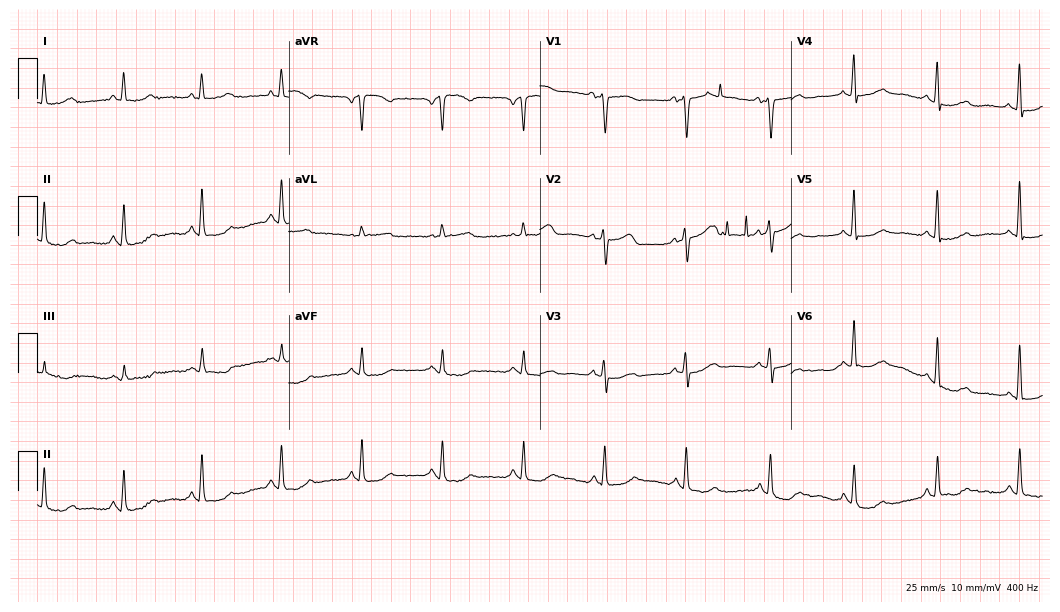
12-lead ECG from a 59-year-old female patient (10.2-second recording at 400 Hz). No first-degree AV block, right bundle branch block, left bundle branch block, sinus bradycardia, atrial fibrillation or sinus tachycardia recorded for this tracing. Other findings, if any, are not listed.